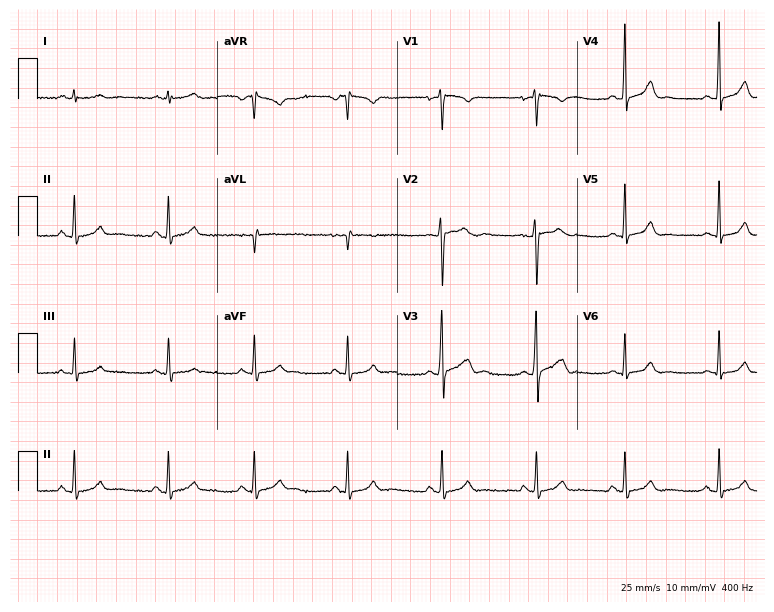
Electrocardiogram (7.3-second recording at 400 Hz), a 17-year-old male. Overall reading on record: normal ECG.